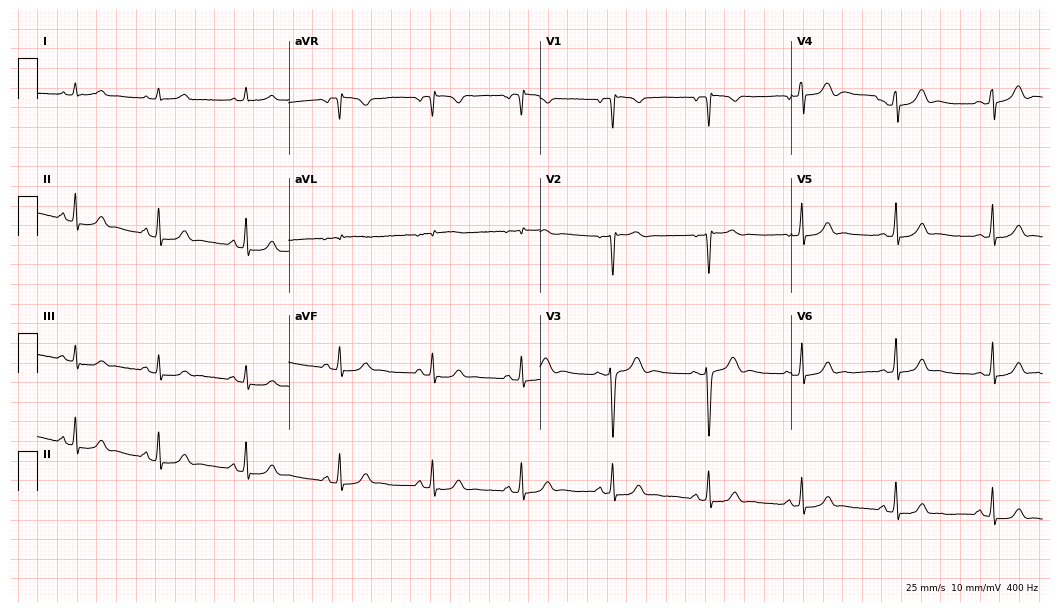
12-lead ECG (10.2-second recording at 400 Hz) from a 20-year-old female patient. Screened for six findings — first-degree AV block, right bundle branch block (RBBB), left bundle branch block (LBBB), sinus bradycardia, atrial fibrillation (AF), sinus tachycardia — none is recorded.